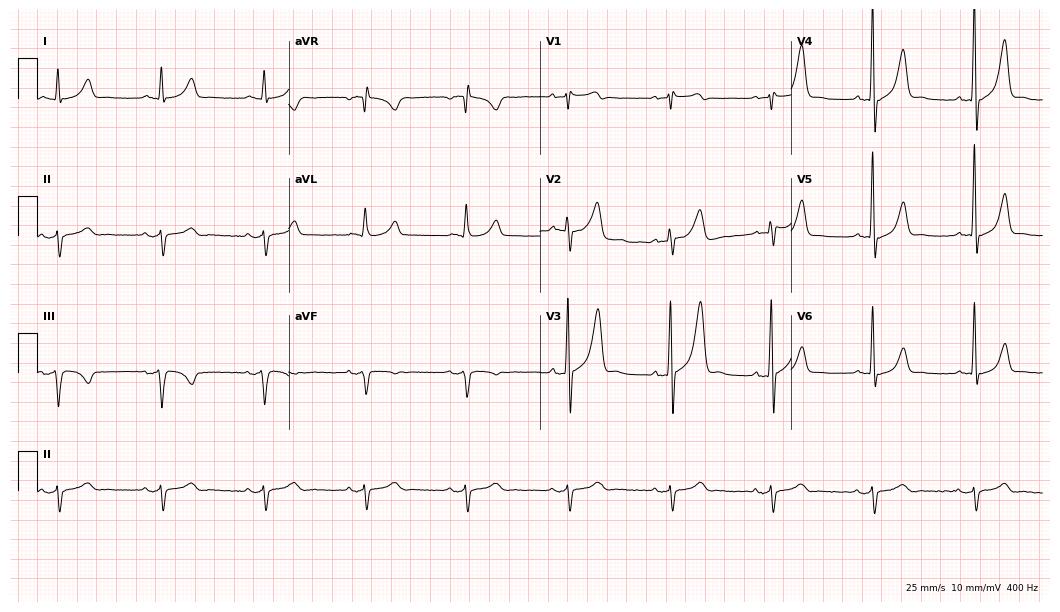
Standard 12-lead ECG recorded from a male, 68 years old (10.2-second recording at 400 Hz). None of these six findings is recorded: first-degree AV block, right bundle branch block, left bundle branch block, sinus bradycardia, atrial fibrillation, sinus tachycardia. Only these six findings were labelled.